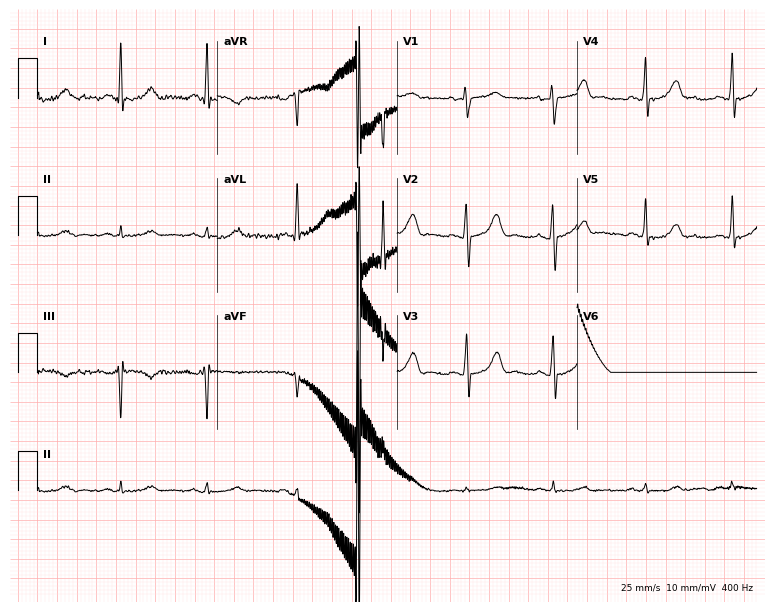
Resting 12-lead electrocardiogram. Patient: a 46-year-old female. None of these six findings is recorded: first-degree AV block, right bundle branch block (RBBB), left bundle branch block (LBBB), sinus bradycardia, atrial fibrillation (AF), sinus tachycardia.